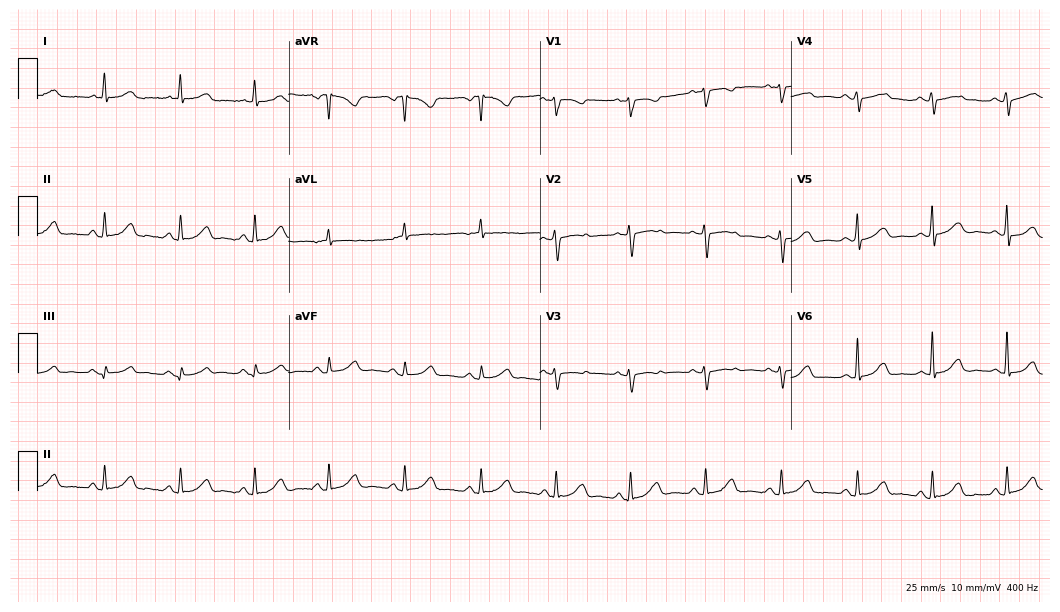
12-lead ECG from a woman, 60 years old (10.2-second recording at 400 Hz). Recorded interpretation: within normal limits.